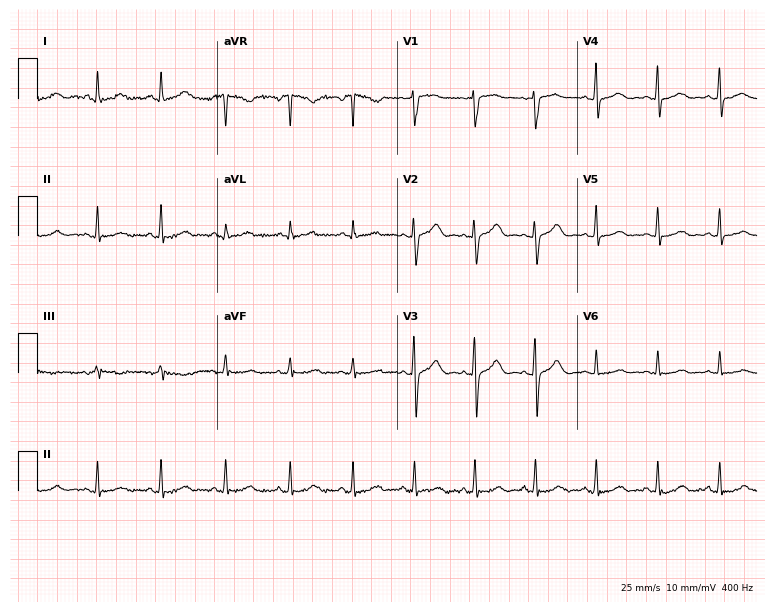
12-lead ECG from a woman, 23 years old. Labelled as a normal ECG.